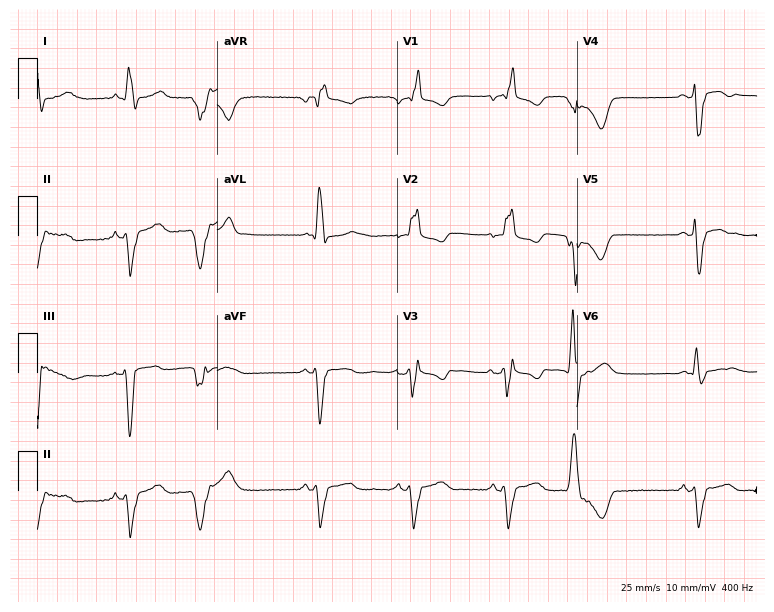
Standard 12-lead ECG recorded from a female patient, 65 years old. The tracing shows right bundle branch block.